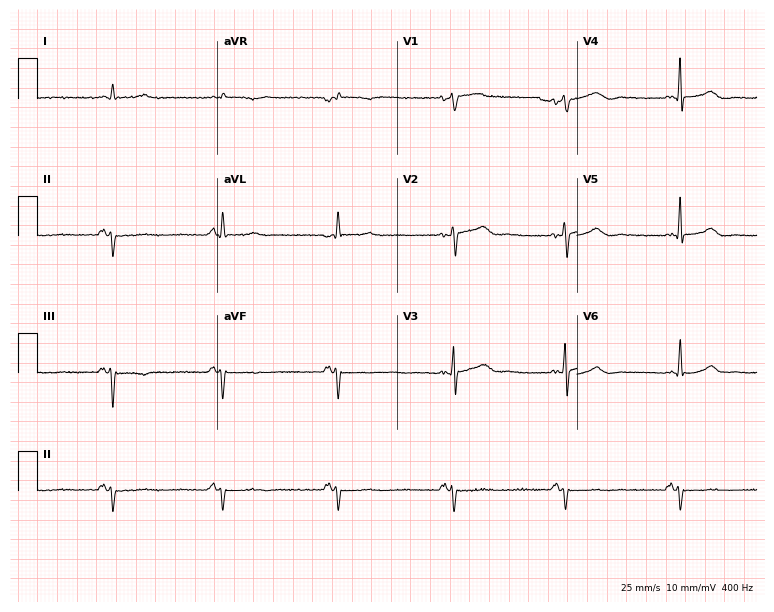
Electrocardiogram, a 77-year-old male. Of the six screened findings (first-degree AV block, right bundle branch block (RBBB), left bundle branch block (LBBB), sinus bradycardia, atrial fibrillation (AF), sinus tachycardia), none is recorded. Findings outside these six are not listed.